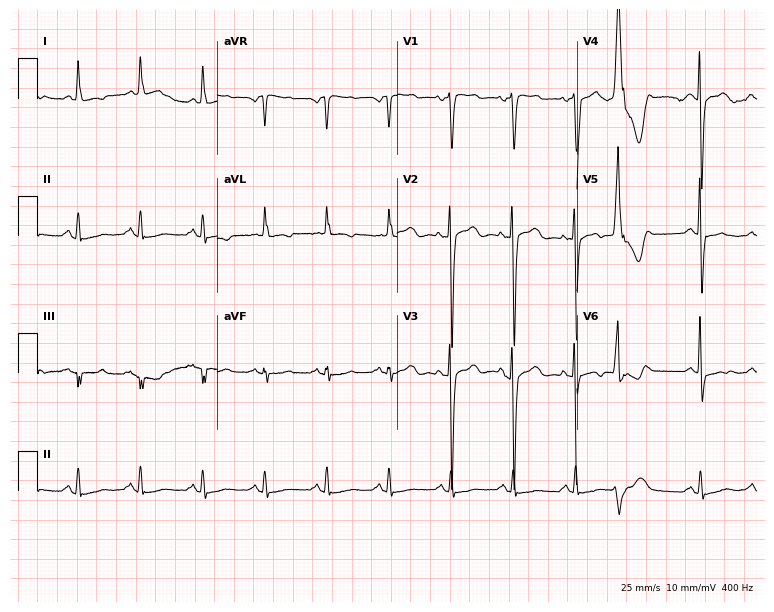
Standard 12-lead ECG recorded from a female patient, 84 years old. None of these six findings is recorded: first-degree AV block, right bundle branch block, left bundle branch block, sinus bradycardia, atrial fibrillation, sinus tachycardia.